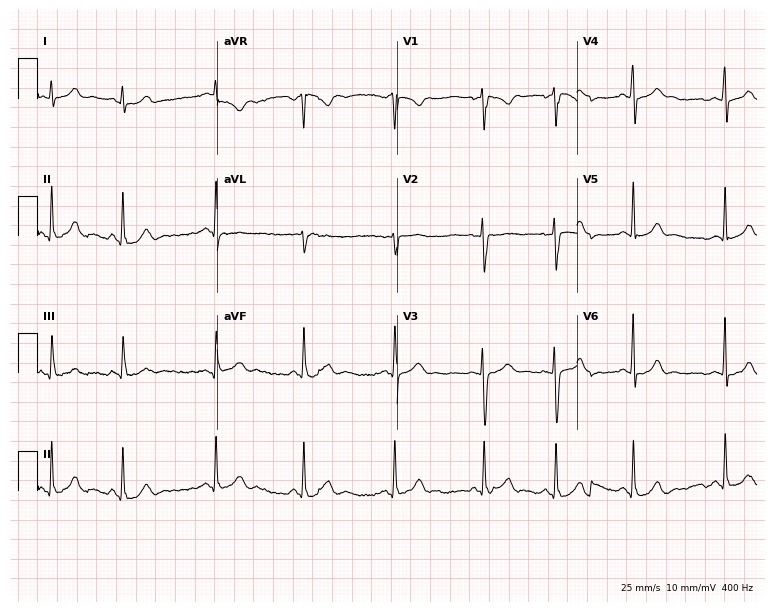
Resting 12-lead electrocardiogram. Patient: a 19-year-old woman. Read as a normal ECG.